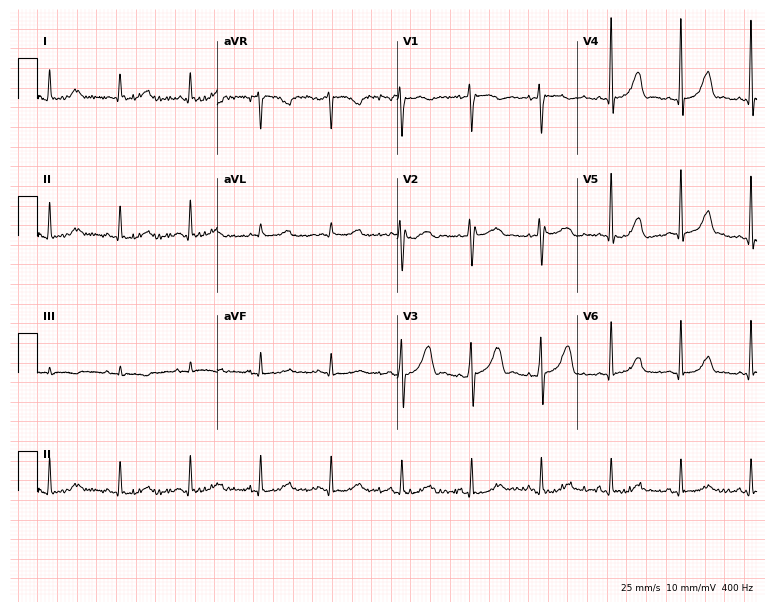
12-lead ECG from a 55-year-old woman. No first-degree AV block, right bundle branch block (RBBB), left bundle branch block (LBBB), sinus bradycardia, atrial fibrillation (AF) or sinus tachycardia recorded for this tracing.